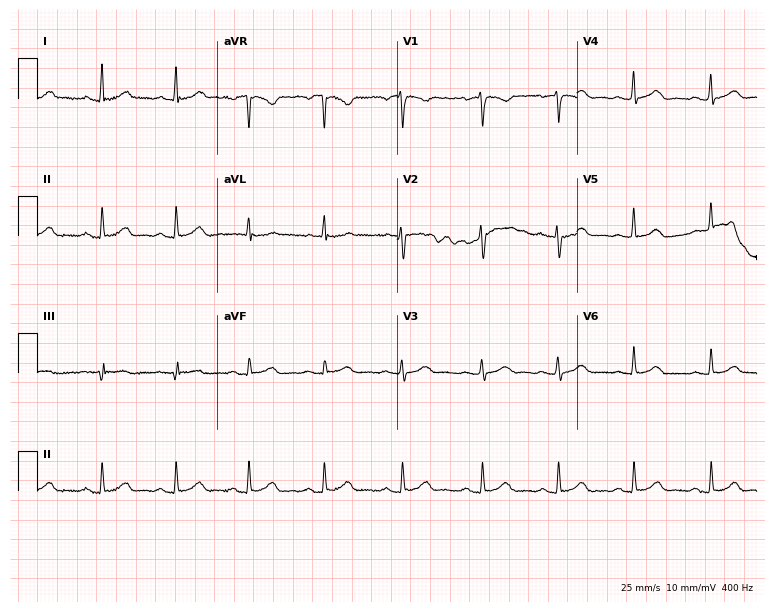
Resting 12-lead electrocardiogram. Patient: a 42-year-old female. Read as a normal ECG.